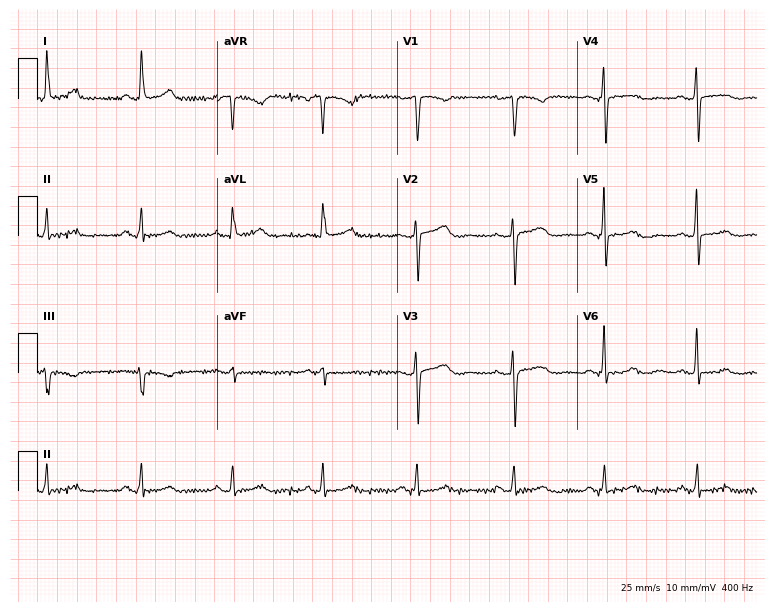
12-lead ECG from a 59-year-old woman. Screened for six findings — first-degree AV block, right bundle branch block (RBBB), left bundle branch block (LBBB), sinus bradycardia, atrial fibrillation (AF), sinus tachycardia — none is recorded. Only these six findings were labelled.